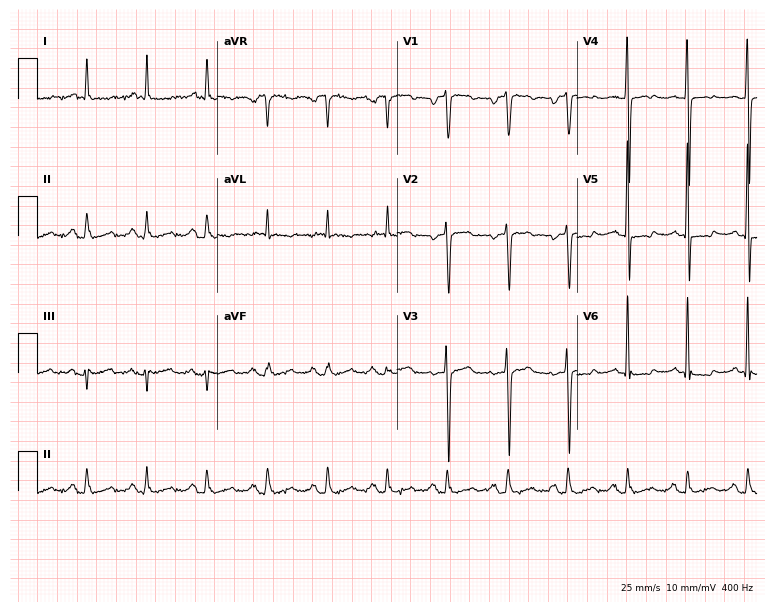
Electrocardiogram (7.3-second recording at 400 Hz), a 75-year-old male. Of the six screened findings (first-degree AV block, right bundle branch block (RBBB), left bundle branch block (LBBB), sinus bradycardia, atrial fibrillation (AF), sinus tachycardia), none is recorded. Only these six findings were labelled.